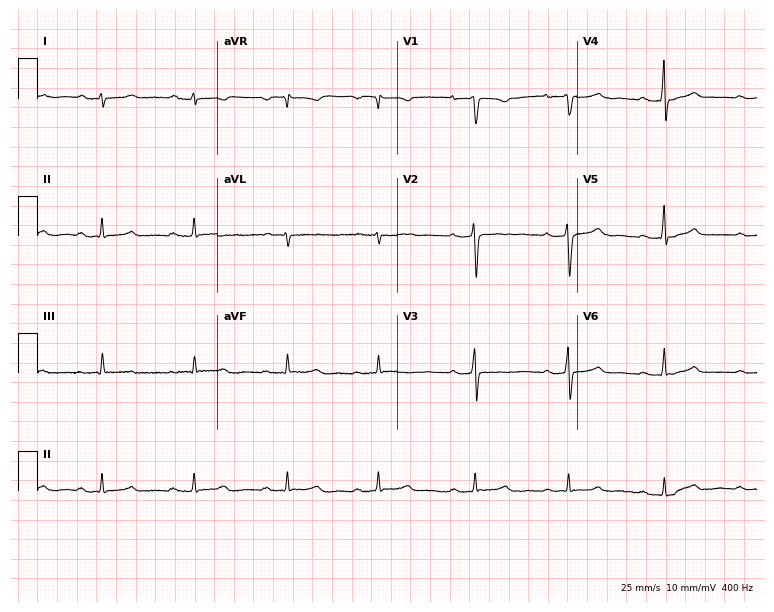
Resting 12-lead electrocardiogram. Patient: a woman, 42 years old. The tracing shows first-degree AV block.